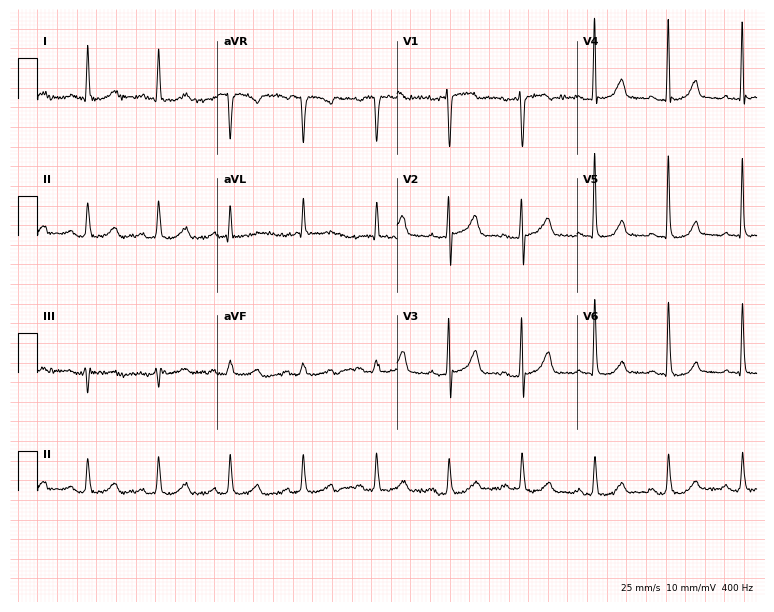
Resting 12-lead electrocardiogram. Patient: a female, 60 years old. Read as a normal ECG.